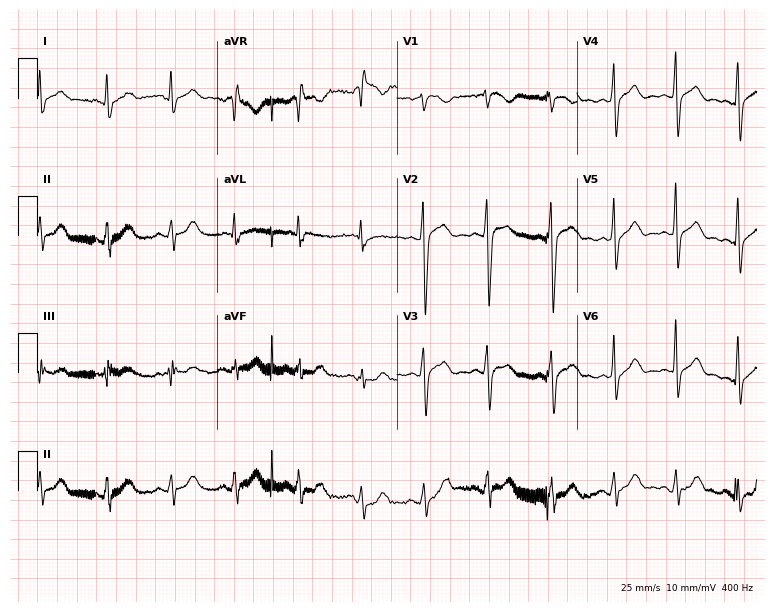
Resting 12-lead electrocardiogram (7.3-second recording at 400 Hz). Patient: a 42-year-old man. None of these six findings is recorded: first-degree AV block, right bundle branch block, left bundle branch block, sinus bradycardia, atrial fibrillation, sinus tachycardia.